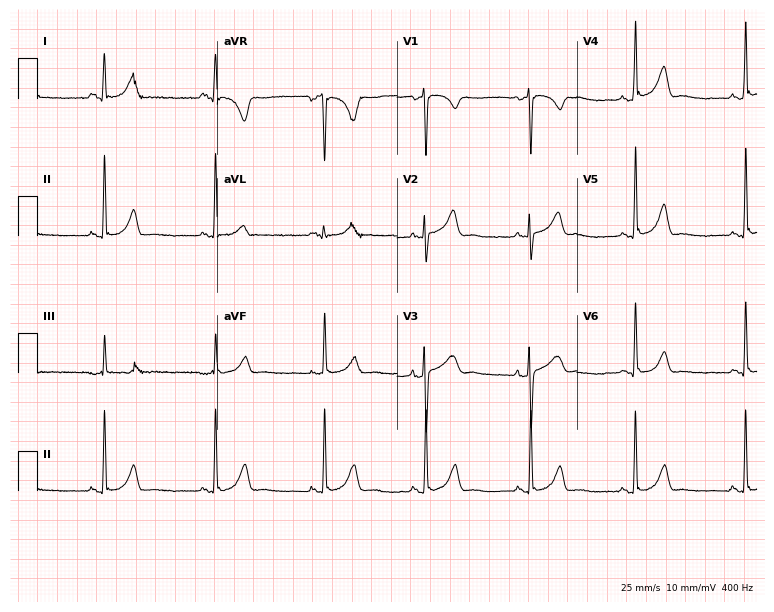
Electrocardiogram (7.3-second recording at 400 Hz), a 38-year-old woman. Overall reading on record: normal ECG.